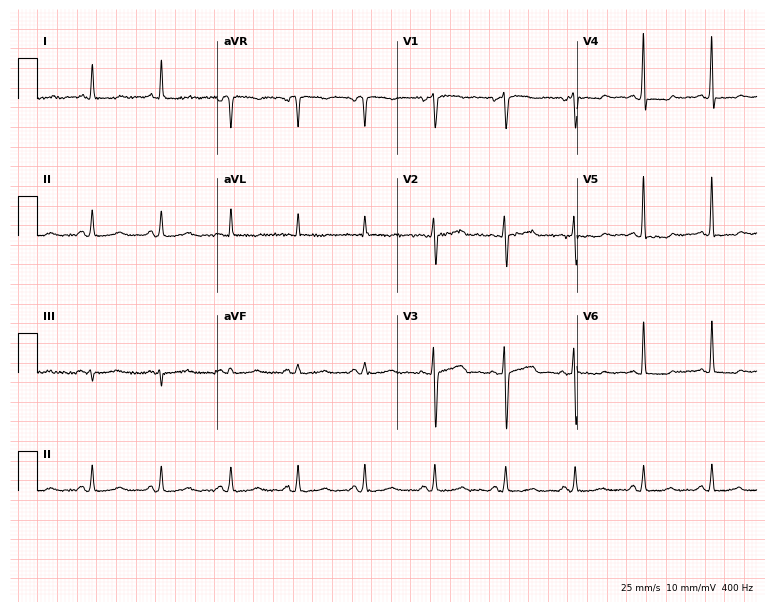
Standard 12-lead ECG recorded from a woman, 45 years old. None of these six findings is recorded: first-degree AV block, right bundle branch block, left bundle branch block, sinus bradycardia, atrial fibrillation, sinus tachycardia.